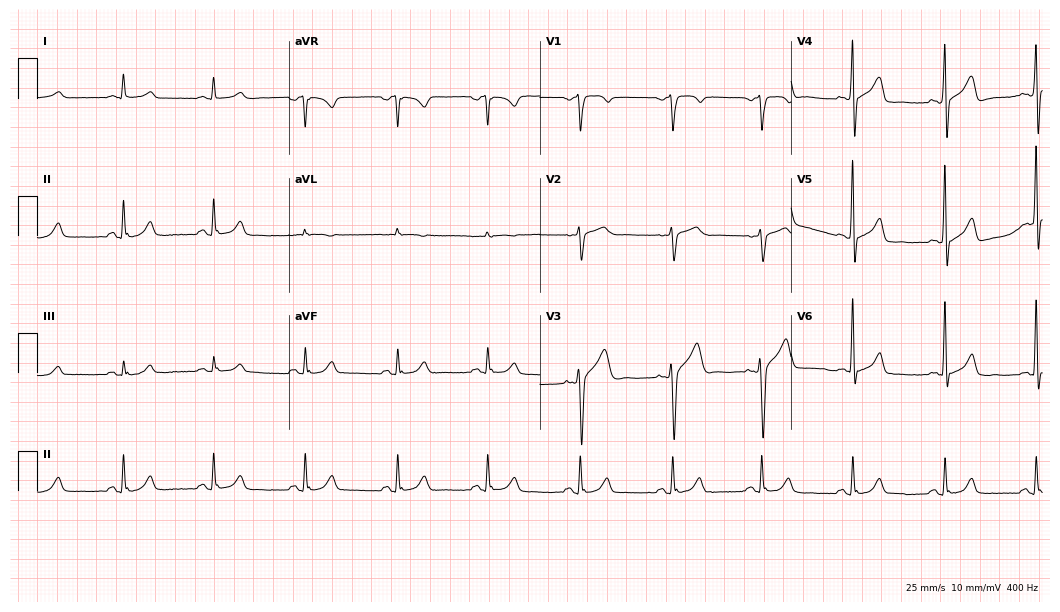
Electrocardiogram (10.2-second recording at 400 Hz), a 65-year-old male patient. Overall reading on record: normal ECG.